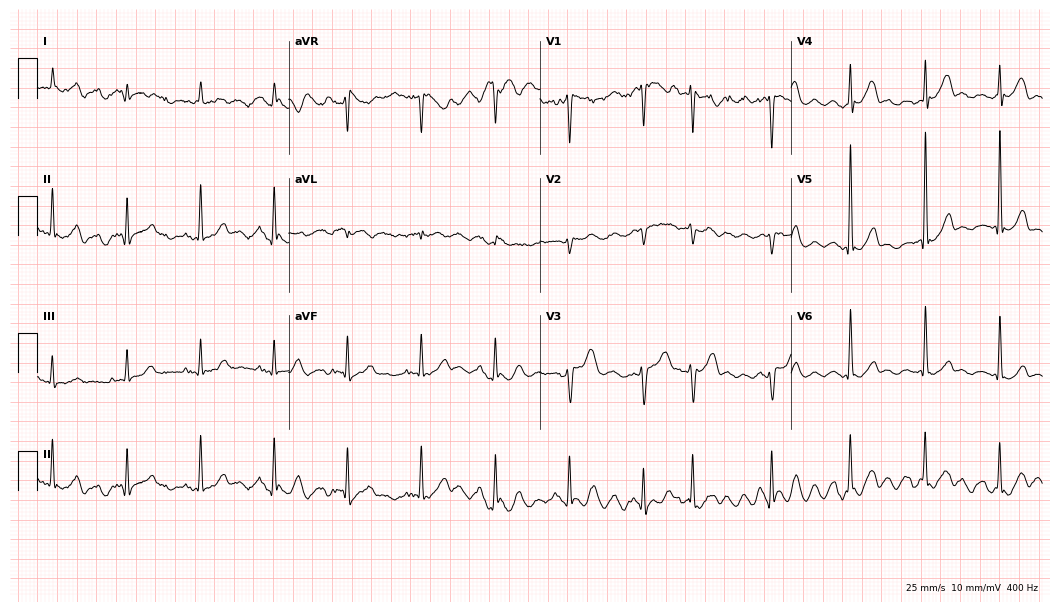
12-lead ECG from an 81-year-old male patient. Screened for six findings — first-degree AV block, right bundle branch block, left bundle branch block, sinus bradycardia, atrial fibrillation, sinus tachycardia — none is recorded.